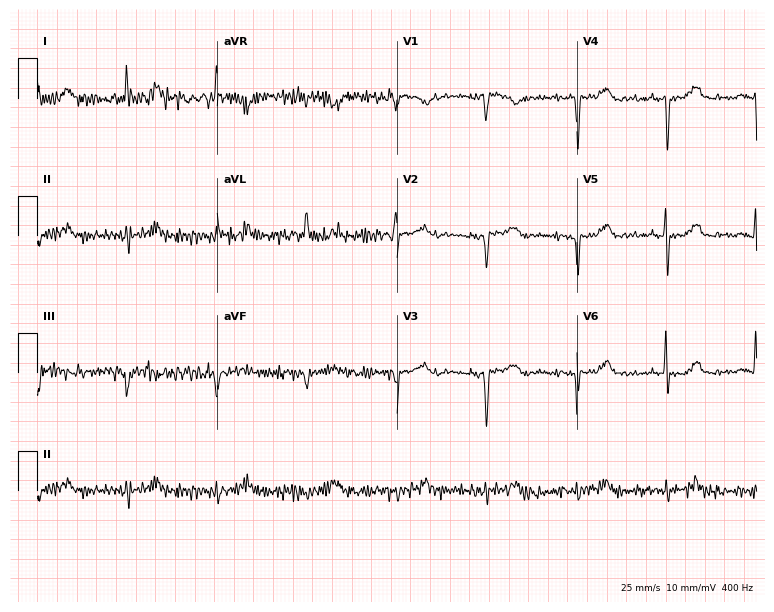
ECG (7.3-second recording at 400 Hz) — an 85-year-old male. Screened for six findings — first-degree AV block, right bundle branch block, left bundle branch block, sinus bradycardia, atrial fibrillation, sinus tachycardia — none is recorded. Other findings, if any, are not listed.